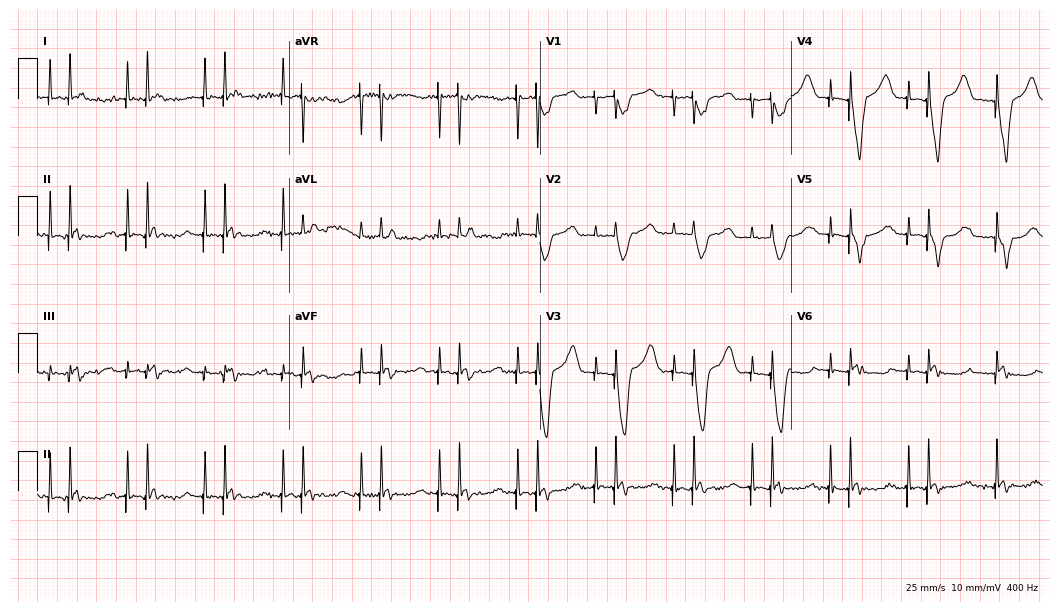
ECG — an 84-year-old man. Screened for six findings — first-degree AV block, right bundle branch block, left bundle branch block, sinus bradycardia, atrial fibrillation, sinus tachycardia — none is recorded. Other findings, if any, are not listed.